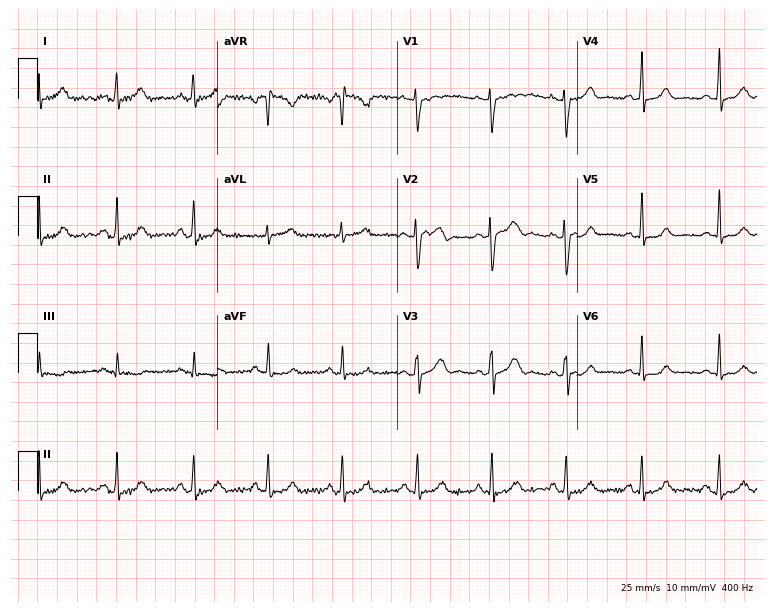
Resting 12-lead electrocardiogram (7.3-second recording at 400 Hz). Patient: a female, 32 years old. None of these six findings is recorded: first-degree AV block, right bundle branch block (RBBB), left bundle branch block (LBBB), sinus bradycardia, atrial fibrillation (AF), sinus tachycardia. Only these six findings were labelled.